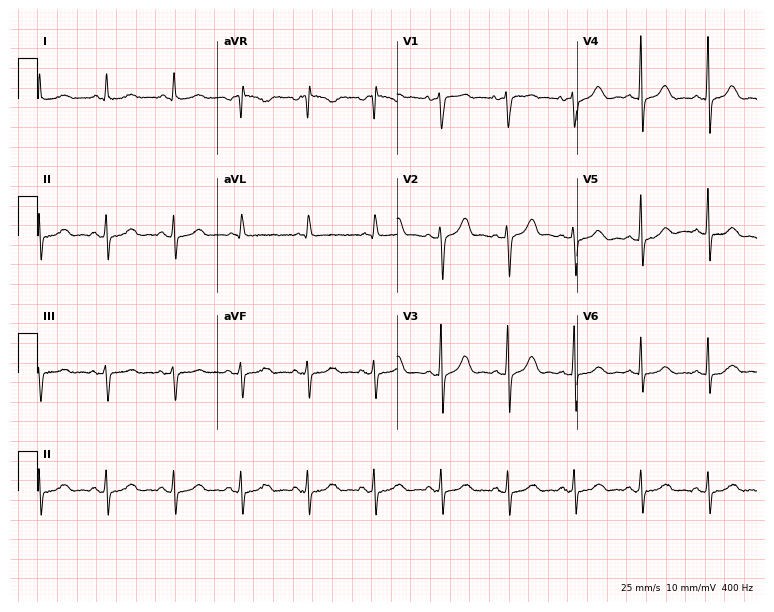
Resting 12-lead electrocardiogram (7.3-second recording at 400 Hz). Patient: an 87-year-old woman. Read as a normal ECG.